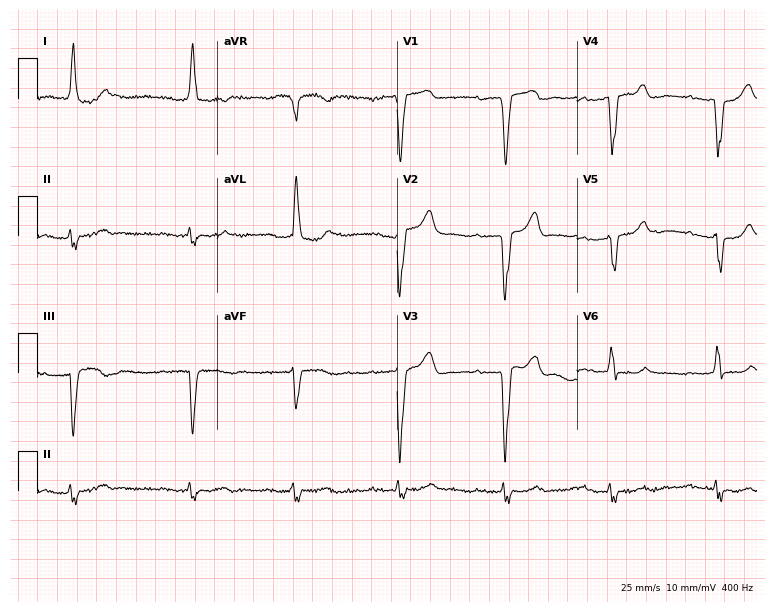
Electrocardiogram (7.3-second recording at 400 Hz), a man, 82 years old. Interpretation includes first-degree AV block, left bundle branch block (LBBB).